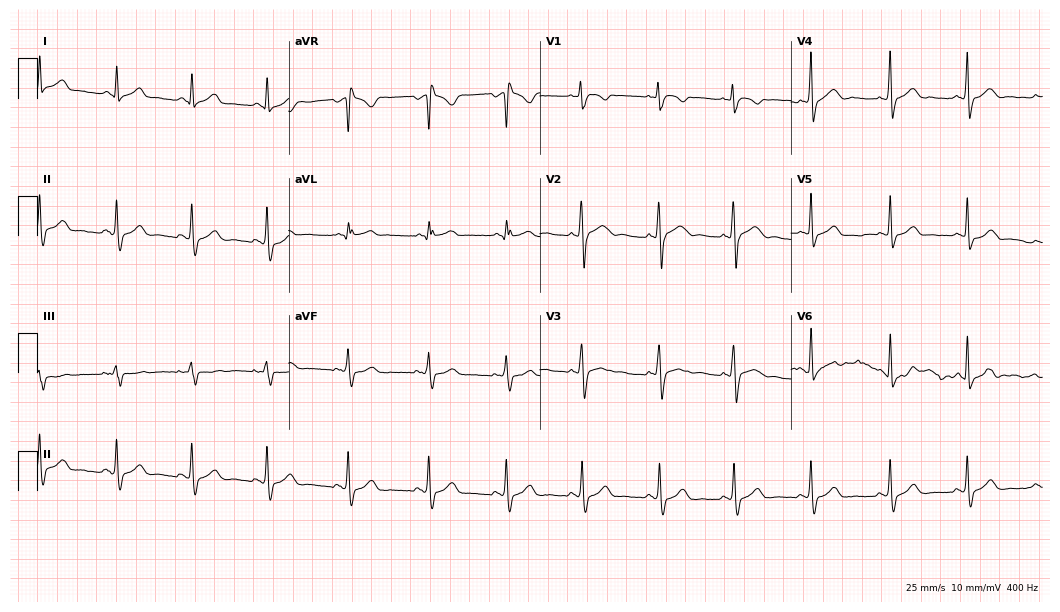
Electrocardiogram, a 23-year-old female patient. Of the six screened findings (first-degree AV block, right bundle branch block, left bundle branch block, sinus bradycardia, atrial fibrillation, sinus tachycardia), none is recorded. Only these six findings were labelled.